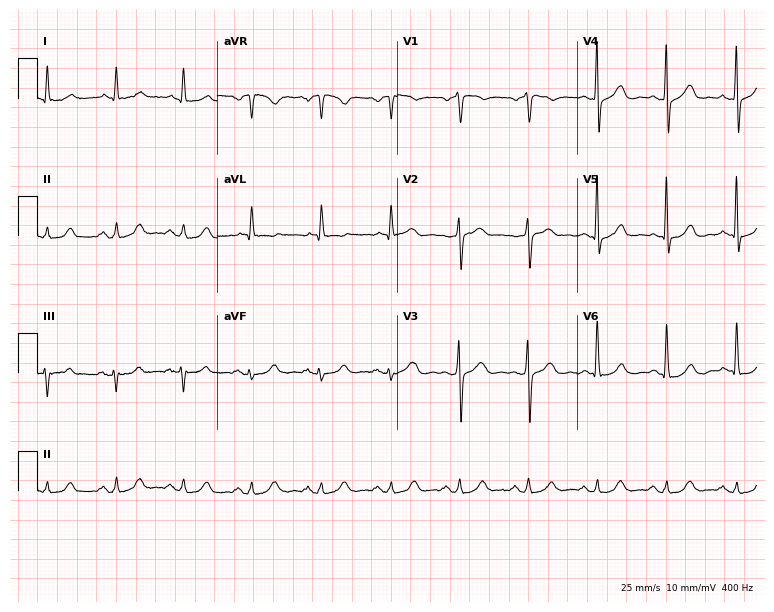
12-lead ECG from a male patient, 72 years old. Recorded interpretation: within normal limits.